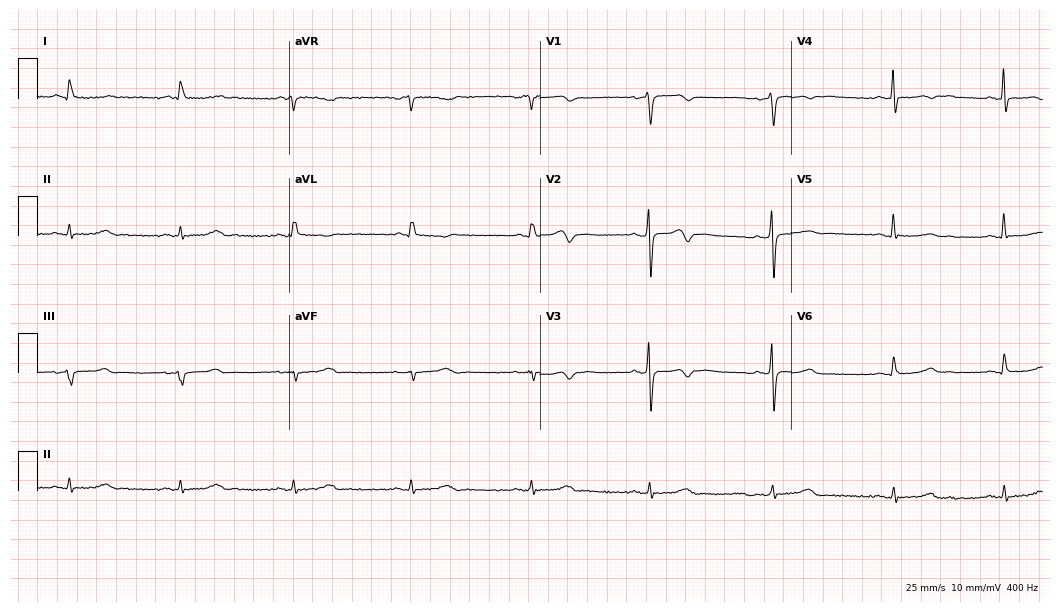
12-lead ECG (10.2-second recording at 400 Hz) from a female patient, 48 years old. Screened for six findings — first-degree AV block, right bundle branch block, left bundle branch block, sinus bradycardia, atrial fibrillation, sinus tachycardia — none is recorded. Only these six findings were labelled.